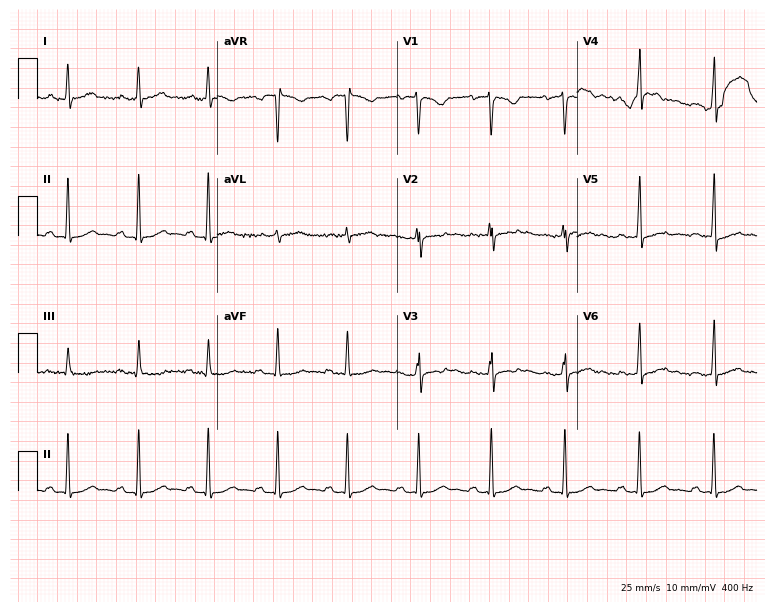
Standard 12-lead ECG recorded from a female, 44 years old (7.3-second recording at 400 Hz). None of these six findings is recorded: first-degree AV block, right bundle branch block (RBBB), left bundle branch block (LBBB), sinus bradycardia, atrial fibrillation (AF), sinus tachycardia.